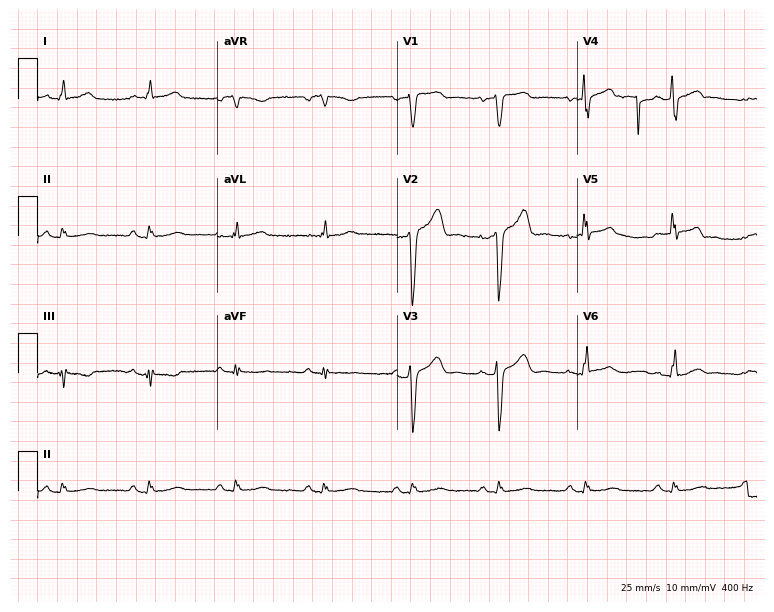
Resting 12-lead electrocardiogram. Patient: a 50-year-old man. Read as a normal ECG.